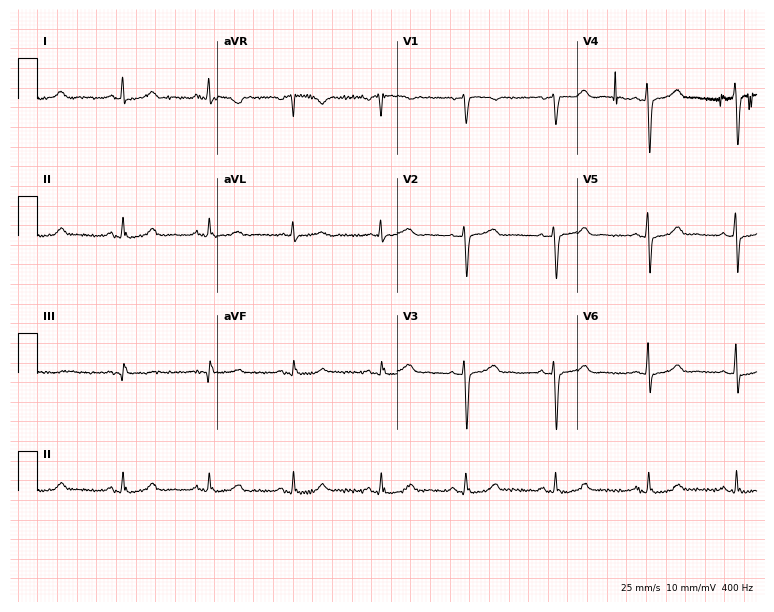
12-lead ECG from a 43-year-old woman (7.3-second recording at 400 Hz). No first-degree AV block, right bundle branch block, left bundle branch block, sinus bradycardia, atrial fibrillation or sinus tachycardia recorded for this tracing.